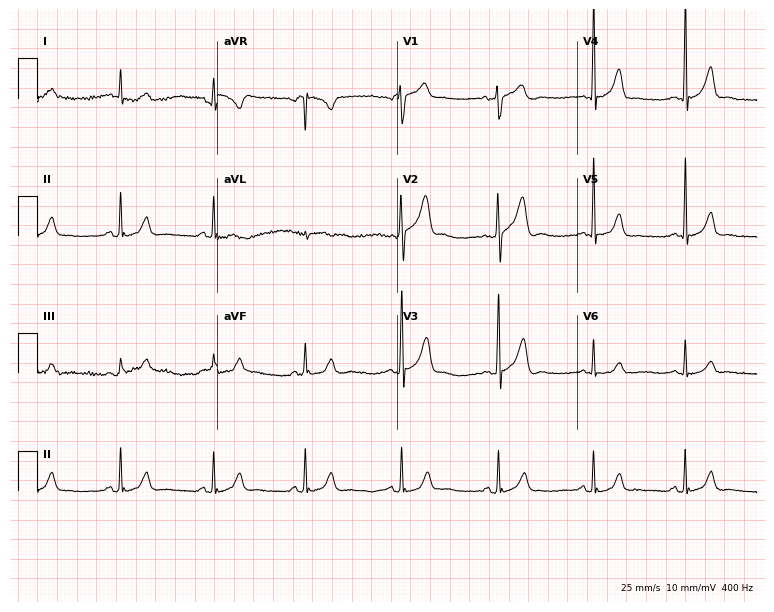
12-lead ECG from a man, 64 years old. No first-degree AV block, right bundle branch block (RBBB), left bundle branch block (LBBB), sinus bradycardia, atrial fibrillation (AF) or sinus tachycardia recorded for this tracing.